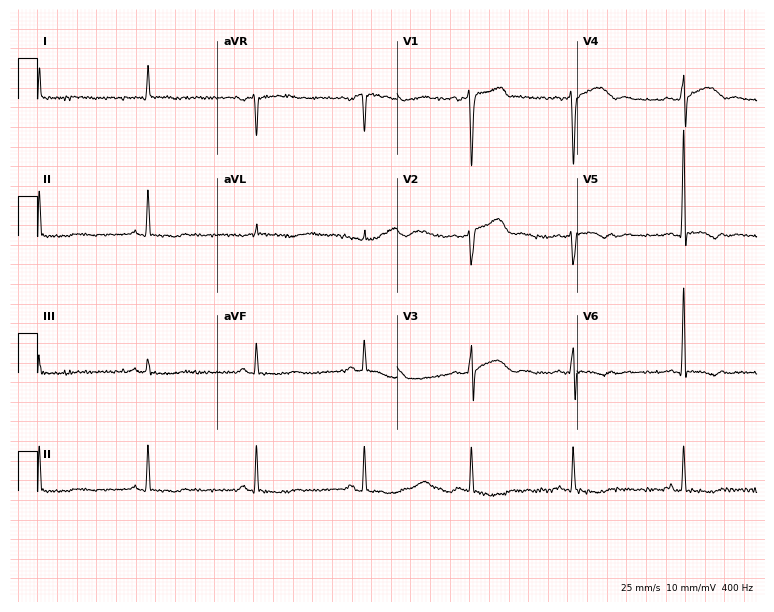
Standard 12-lead ECG recorded from a man, 55 years old (7.3-second recording at 400 Hz). None of these six findings is recorded: first-degree AV block, right bundle branch block, left bundle branch block, sinus bradycardia, atrial fibrillation, sinus tachycardia.